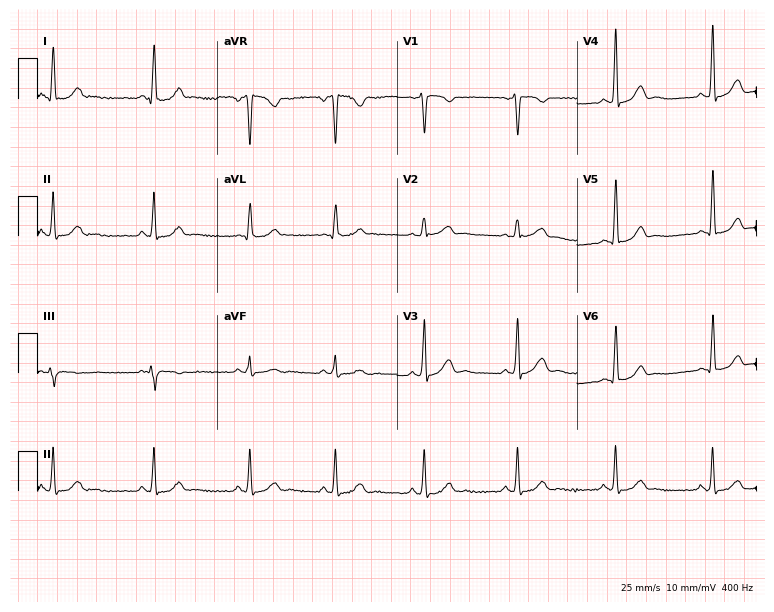
Electrocardiogram (7.3-second recording at 400 Hz), a 38-year-old female. Of the six screened findings (first-degree AV block, right bundle branch block, left bundle branch block, sinus bradycardia, atrial fibrillation, sinus tachycardia), none is recorded.